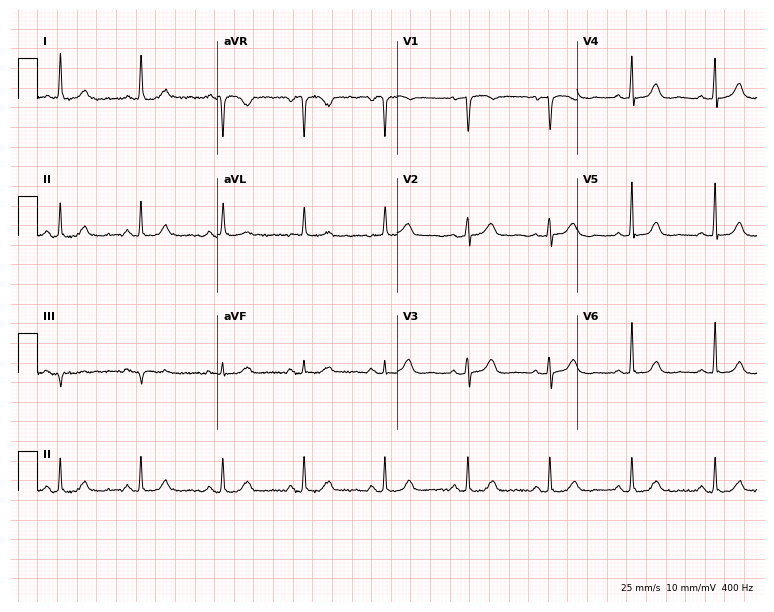
12-lead ECG from a 79-year-old female. No first-degree AV block, right bundle branch block (RBBB), left bundle branch block (LBBB), sinus bradycardia, atrial fibrillation (AF) or sinus tachycardia recorded for this tracing.